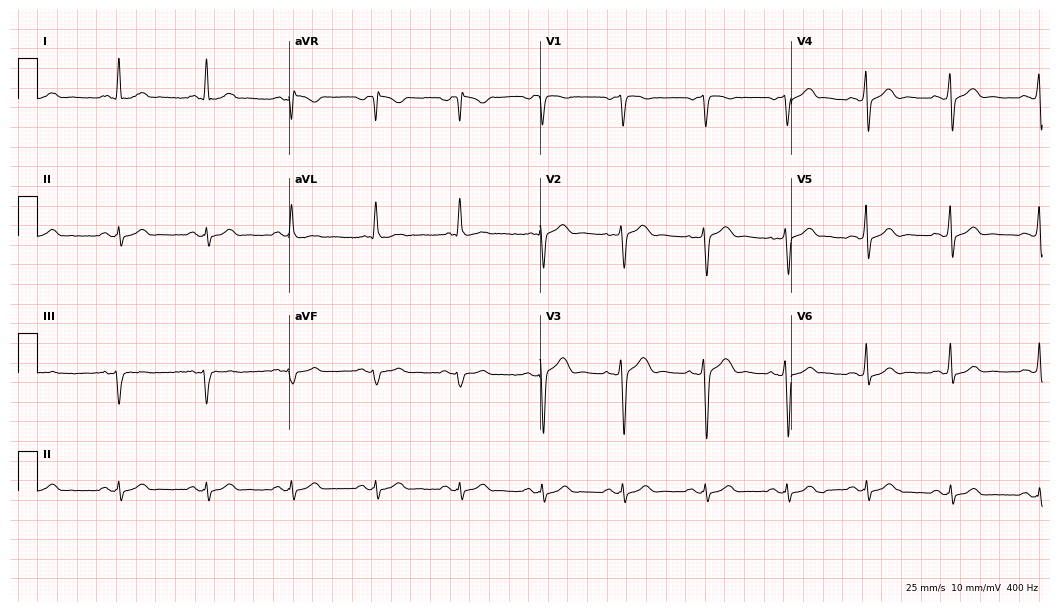
12-lead ECG from a man, 43 years old. No first-degree AV block, right bundle branch block, left bundle branch block, sinus bradycardia, atrial fibrillation or sinus tachycardia recorded for this tracing.